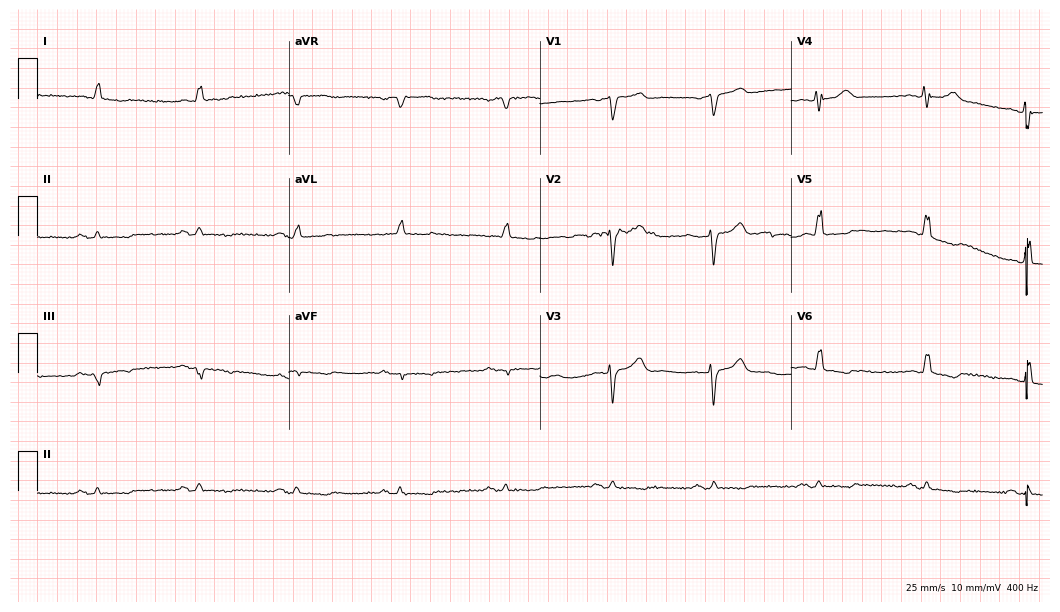
Electrocardiogram (10.2-second recording at 400 Hz), a male patient, 68 years old. Of the six screened findings (first-degree AV block, right bundle branch block, left bundle branch block, sinus bradycardia, atrial fibrillation, sinus tachycardia), none is recorded. Findings outside these six are not listed.